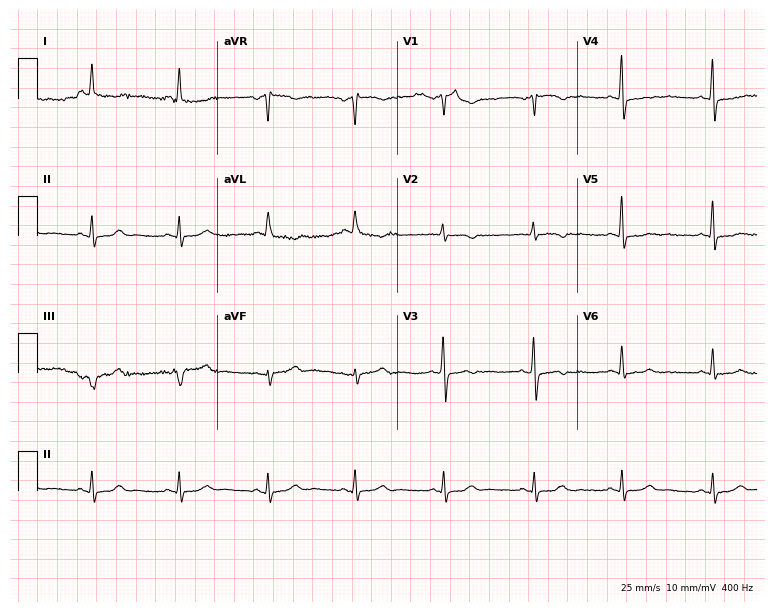
ECG (7.3-second recording at 400 Hz) — a 69-year-old female. Labelled as a normal ECG.